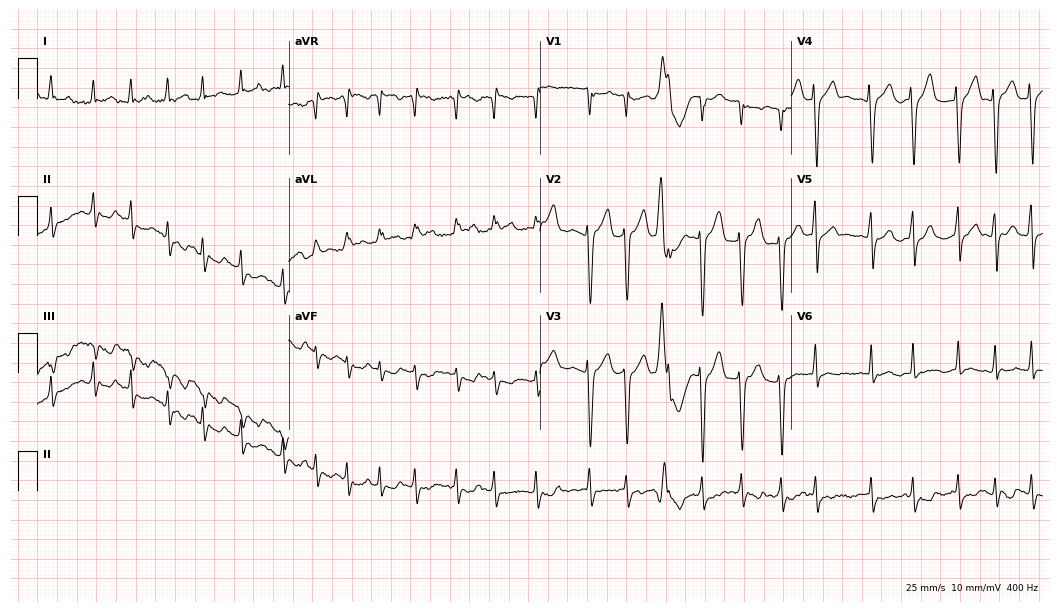
Standard 12-lead ECG recorded from a 70-year-old female patient. The tracing shows atrial fibrillation, sinus tachycardia (a sinus rate of 100 beats per minute or more).